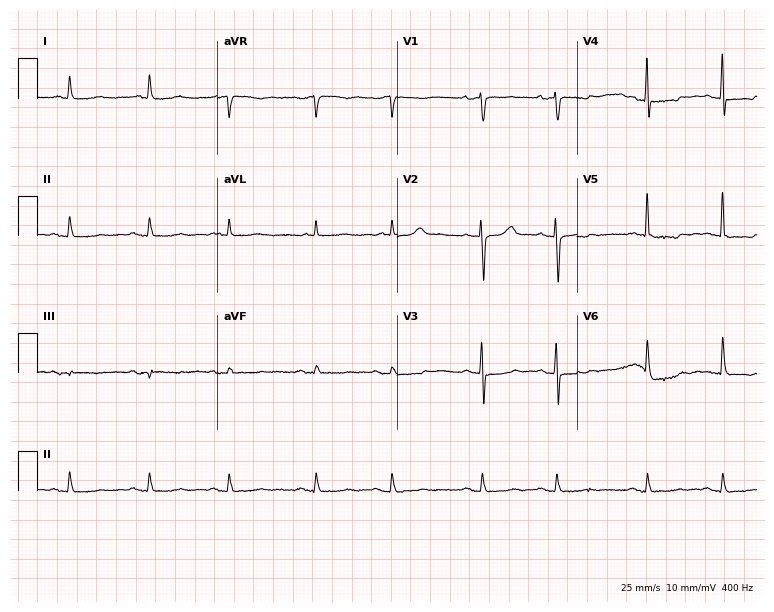
Standard 12-lead ECG recorded from an 85-year-old man (7.3-second recording at 400 Hz). Read as a normal ECG.